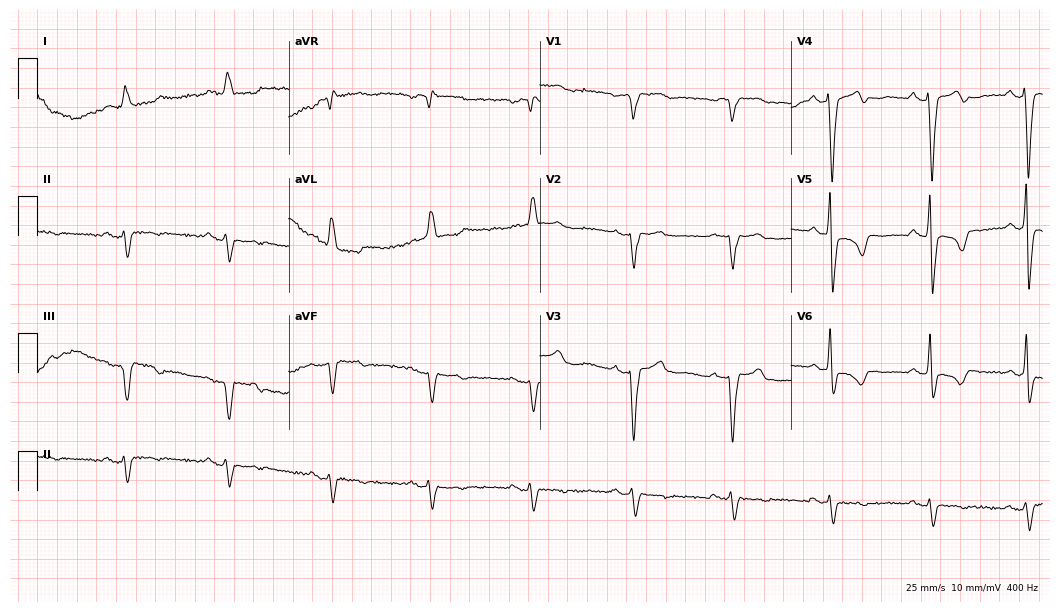
Resting 12-lead electrocardiogram (10.2-second recording at 400 Hz). Patient: a 78-year-old male. None of these six findings is recorded: first-degree AV block, right bundle branch block, left bundle branch block, sinus bradycardia, atrial fibrillation, sinus tachycardia. Only these six findings were labelled.